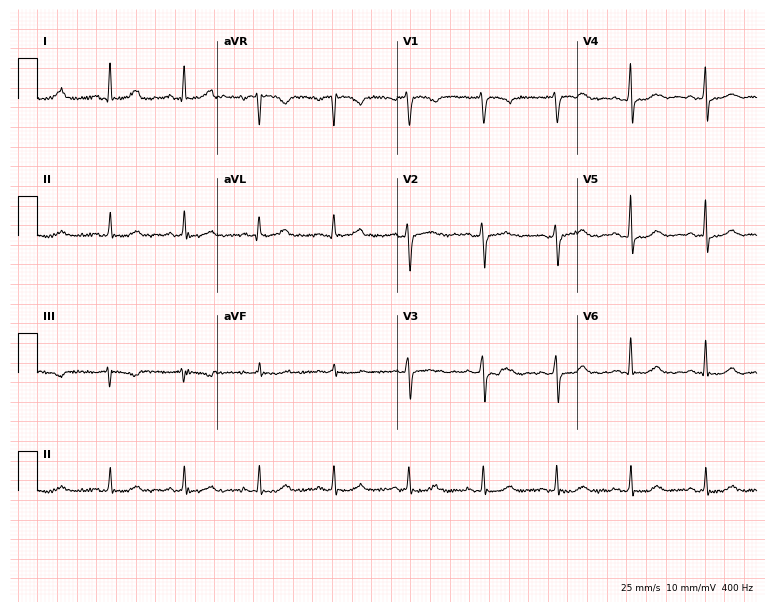
12-lead ECG from a female patient, 54 years old (7.3-second recording at 400 Hz). Recorded interpretation: within normal limits.